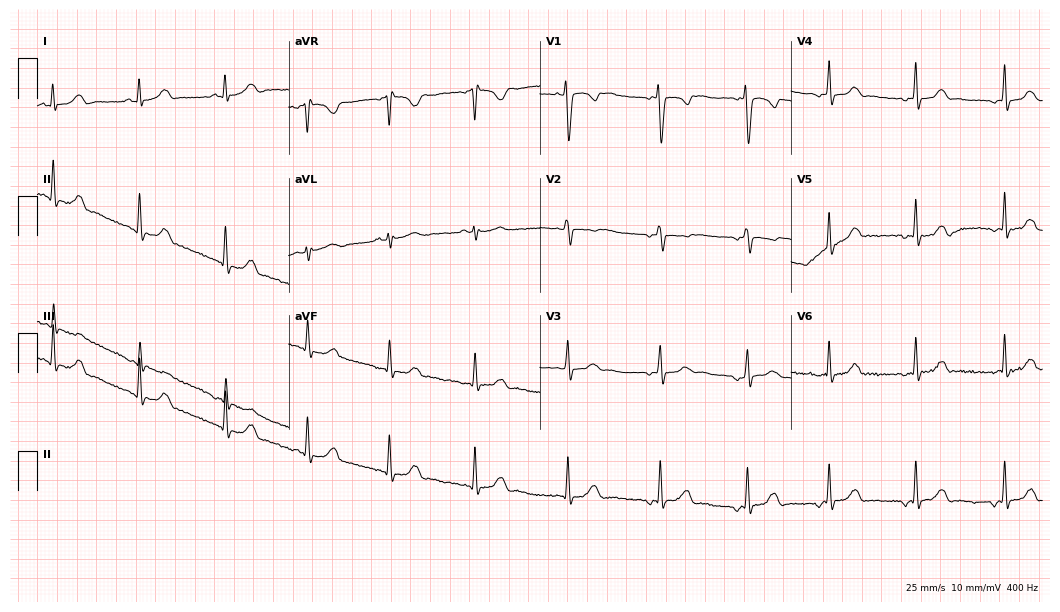
Electrocardiogram, an 18-year-old woman. Overall reading on record: normal ECG.